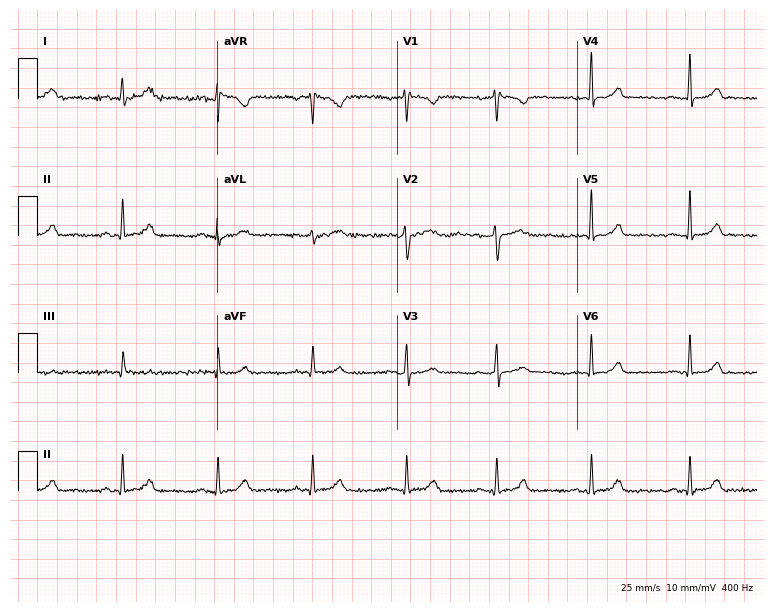
12-lead ECG (7.3-second recording at 400 Hz) from a woman, 36 years old. Labelled as a normal ECG.